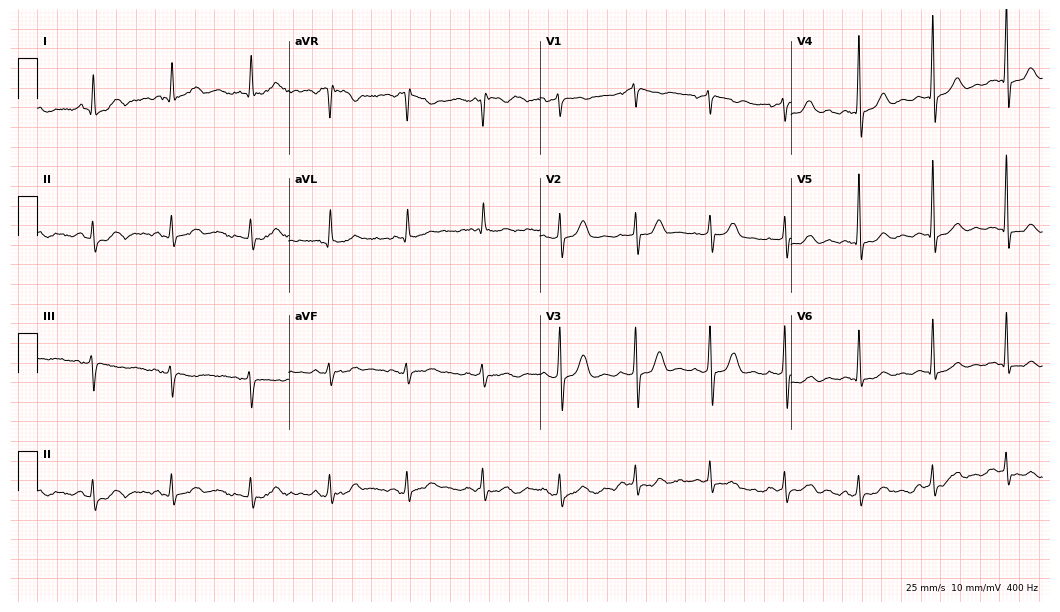
ECG — a male, 38 years old. Labelled as a normal ECG.